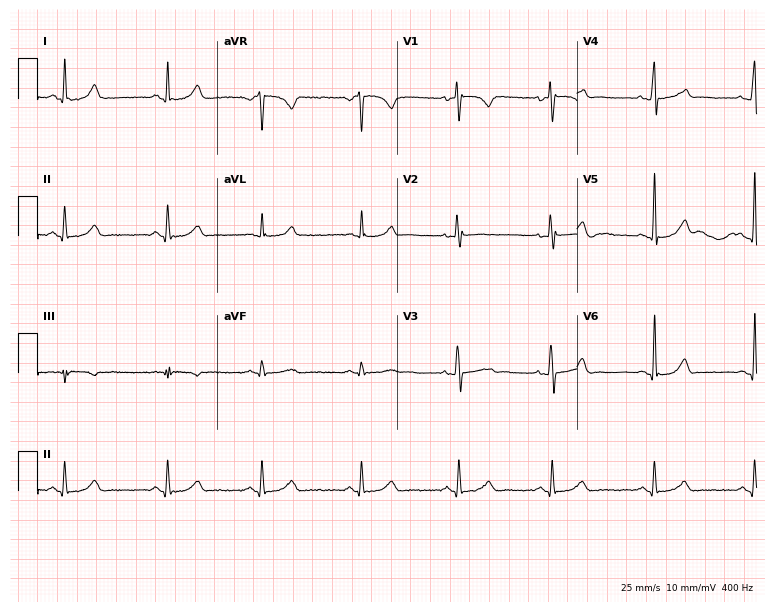
12-lead ECG from a 44-year-old woman (7.3-second recording at 400 Hz). Recorded interpretation: within normal limits.